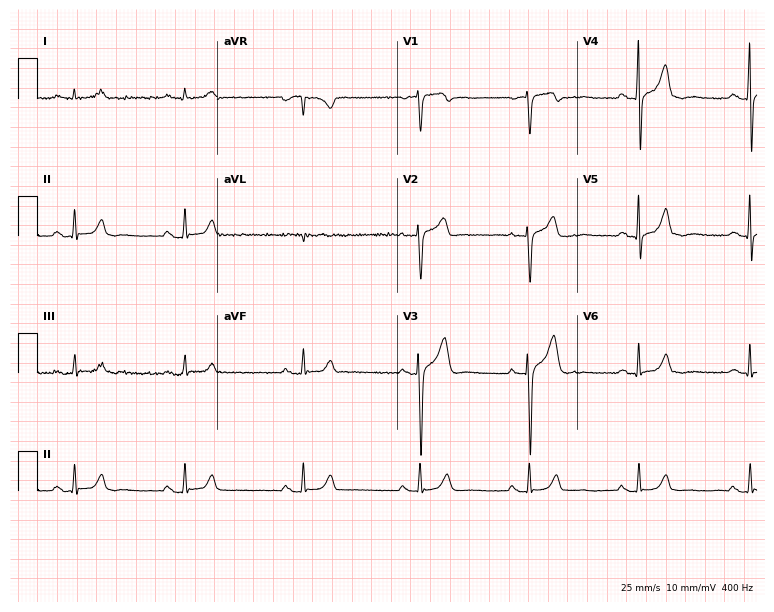
Resting 12-lead electrocardiogram. Patient: a 39-year-old male. None of these six findings is recorded: first-degree AV block, right bundle branch block (RBBB), left bundle branch block (LBBB), sinus bradycardia, atrial fibrillation (AF), sinus tachycardia. Other findings, if any, are not listed.